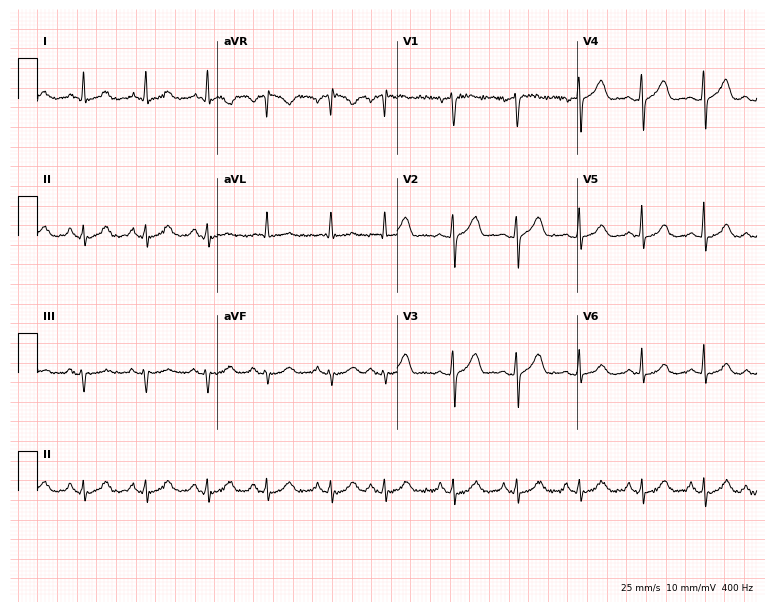
12-lead ECG from an 84-year-old woman (7.3-second recording at 400 Hz). No first-degree AV block, right bundle branch block, left bundle branch block, sinus bradycardia, atrial fibrillation or sinus tachycardia recorded for this tracing.